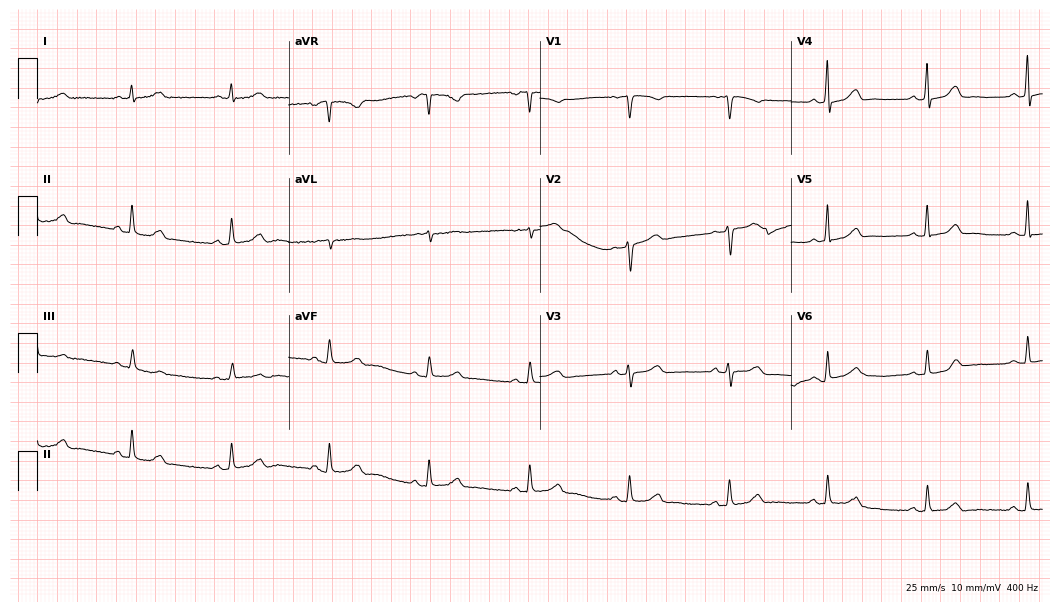
12-lead ECG from a woman, 73 years old (10.2-second recording at 400 Hz). Recorded interpretation: within normal limits.